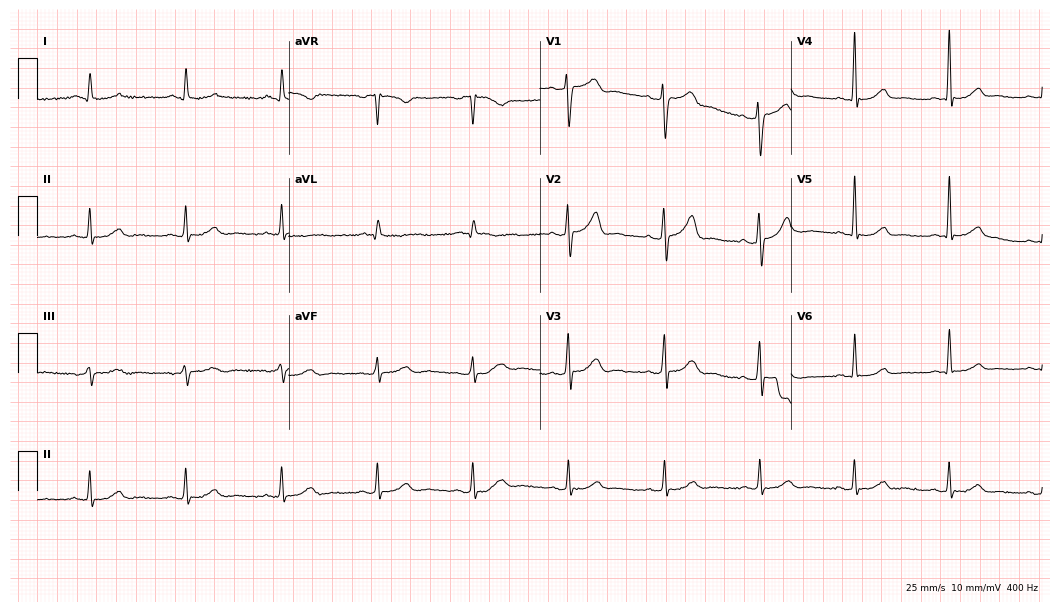
Resting 12-lead electrocardiogram. Patient: a 65-year-old male. None of these six findings is recorded: first-degree AV block, right bundle branch block, left bundle branch block, sinus bradycardia, atrial fibrillation, sinus tachycardia. Only these six findings were labelled.